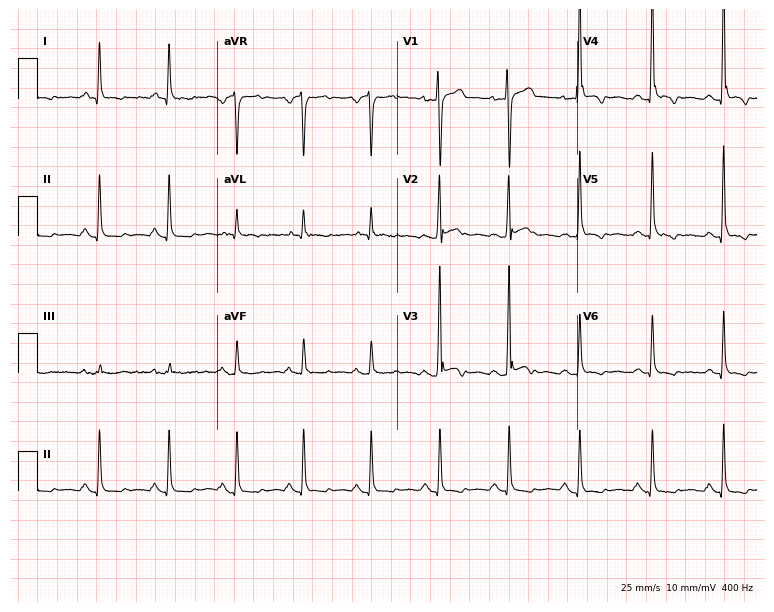
12-lead ECG from a 44-year-old man. Screened for six findings — first-degree AV block, right bundle branch block (RBBB), left bundle branch block (LBBB), sinus bradycardia, atrial fibrillation (AF), sinus tachycardia — none is recorded.